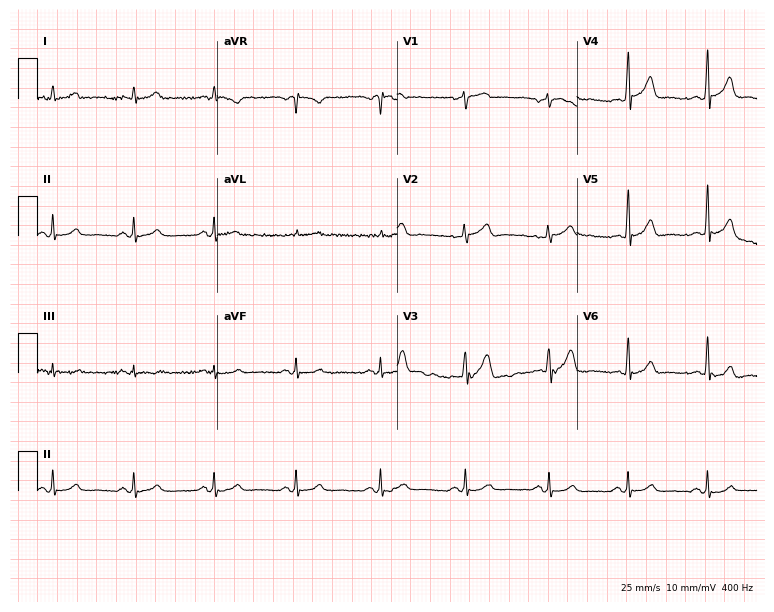
Standard 12-lead ECG recorded from a male patient, 51 years old (7.3-second recording at 400 Hz). None of these six findings is recorded: first-degree AV block, right bundle branch block (RBBB), left bundle branch block (LBBB), sinus bradycardia, atrial fibrillation (AF), sinus tachycardia.